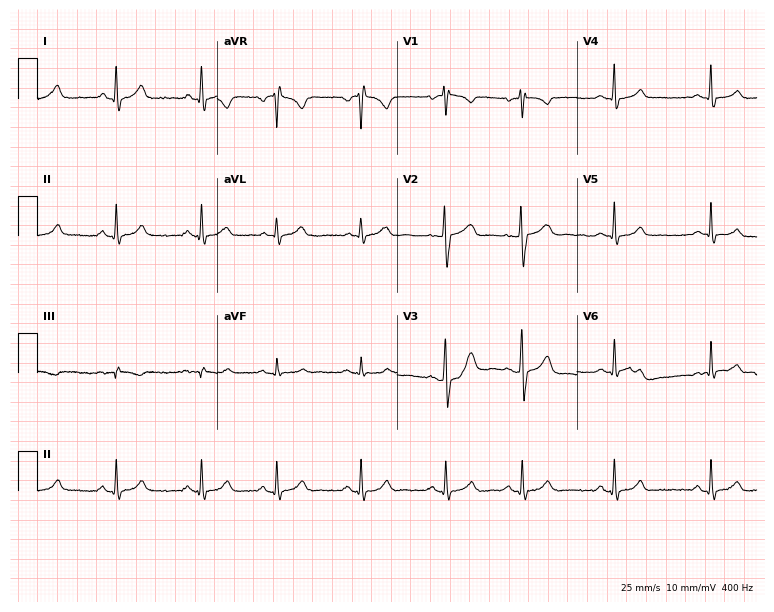
12-lead ECG from a female, 25 years old. Recorded interpretation: within normal limits.